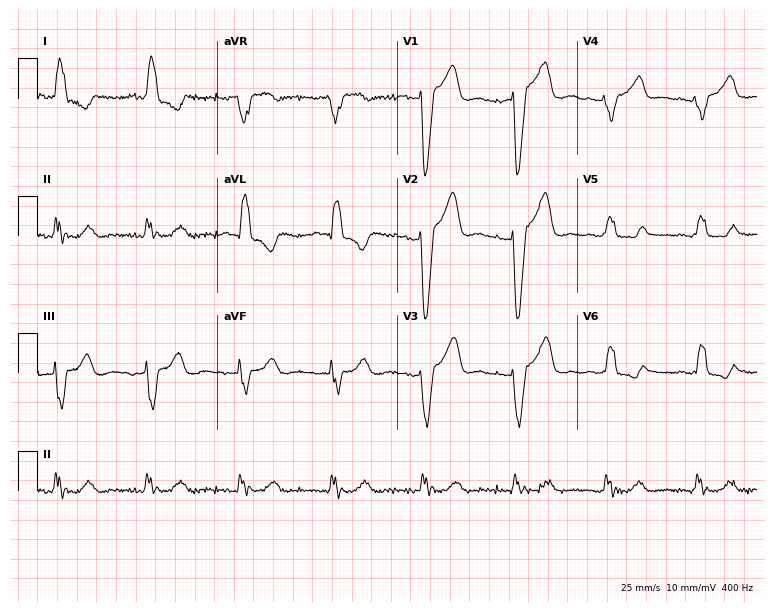
Standard 12-lead ECG recorded from a woman, 81 years old (7.3-second recording at 400 Hz). The tracing shows left bundle branch block (LBBB).